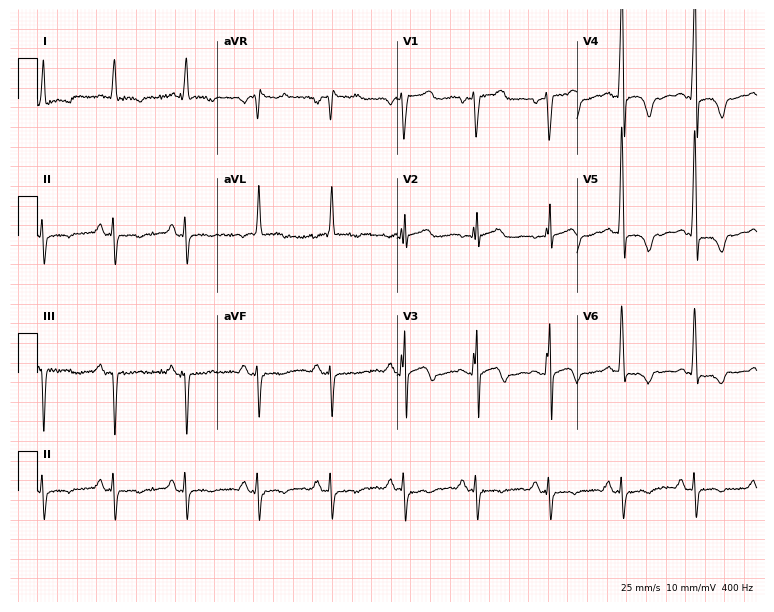
12-lead ECG from a man, 63 years old (7.3-second recording at 400 Hz). No first-degree AV block, right bundle branch block (RBBB), left bundle branch block (LBBB), sinus bradycardia, atrial fibrillation (AF) or sinus tachycardia recorded for this tracing. Findings outside these six are not listed.